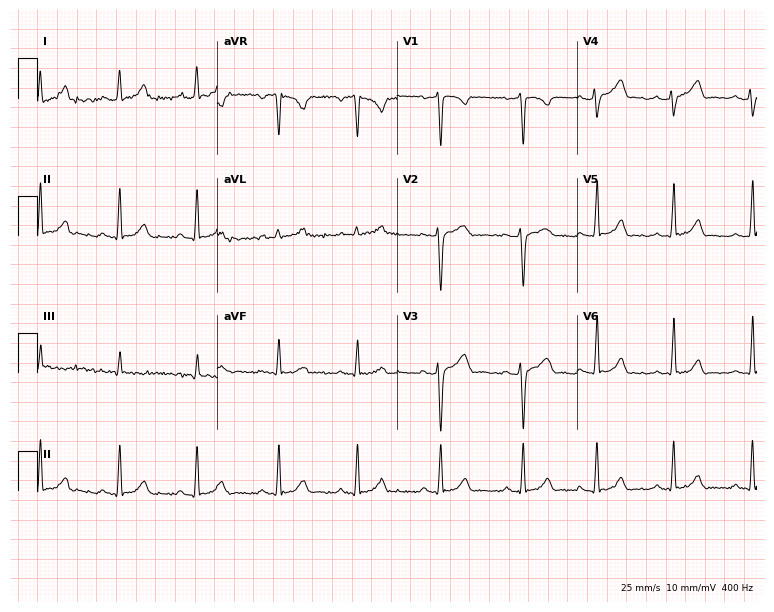
ECG (7.3-second recording at 400 Hz) — a 24-year-old woman. Screened for six findings — first-degree AV block, right bundle branch block (RBBB), left bundle branch block (LBBB), sinus bradycardia, atrial fibrillation (AF), sinus tachycardia — none is recorded.